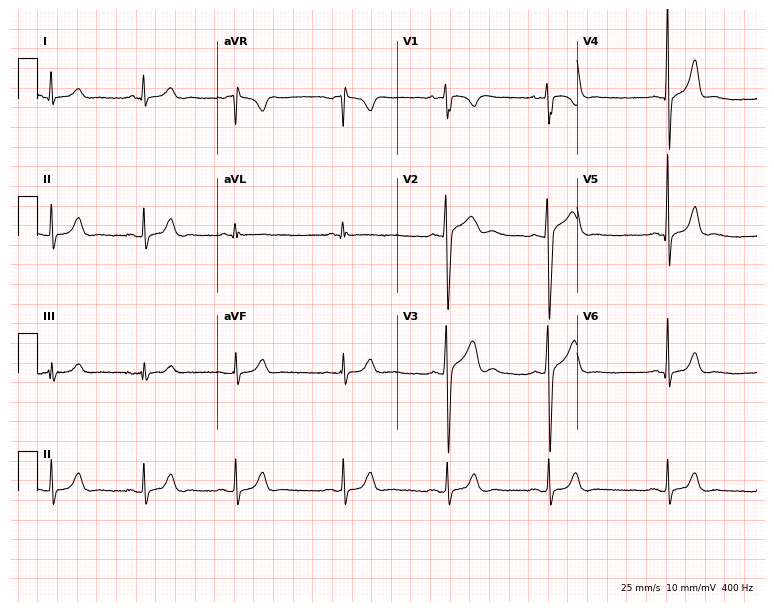
Electrocardiogram, an 18-year-old male. Overall reading on record: normal ECG.